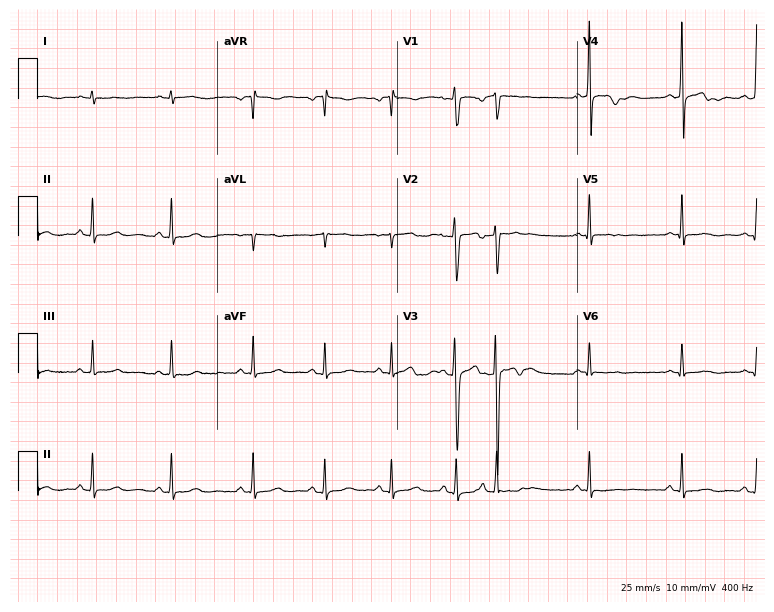
Resting 12-lead electrocardiogram (7.3-second recording at 400 Hz). Patient: a female, 22 years old. None of these six findings is recorded: first-degree AV block, right bundle branch block, left bundle branch block, sinus bradycardia, atrial fibrillation, sinus tachycardia.